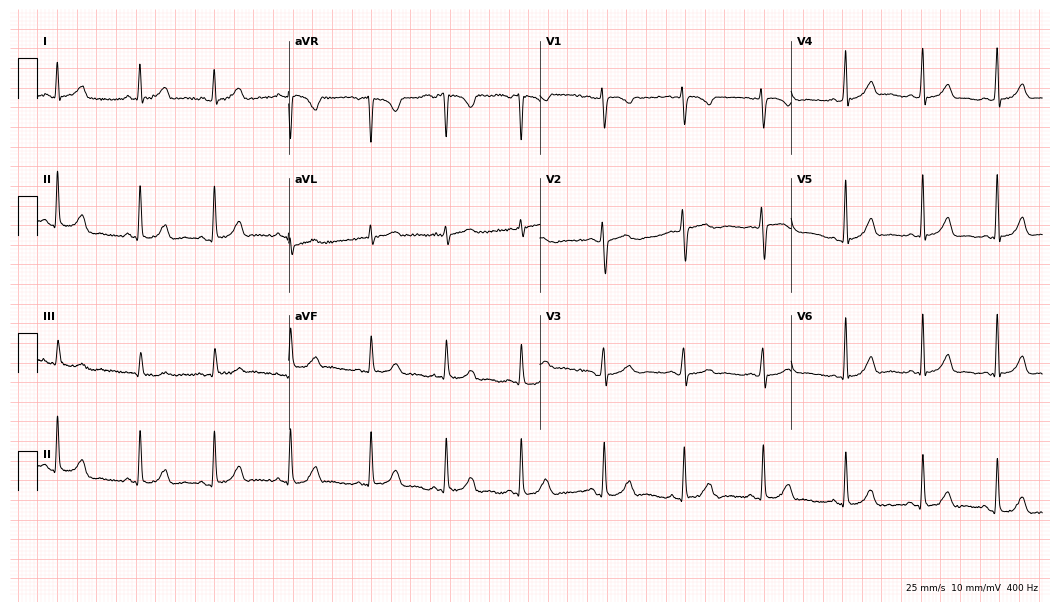
Electrocardiogram, a female, 34 years old. Overall reading on record: normal ECG.